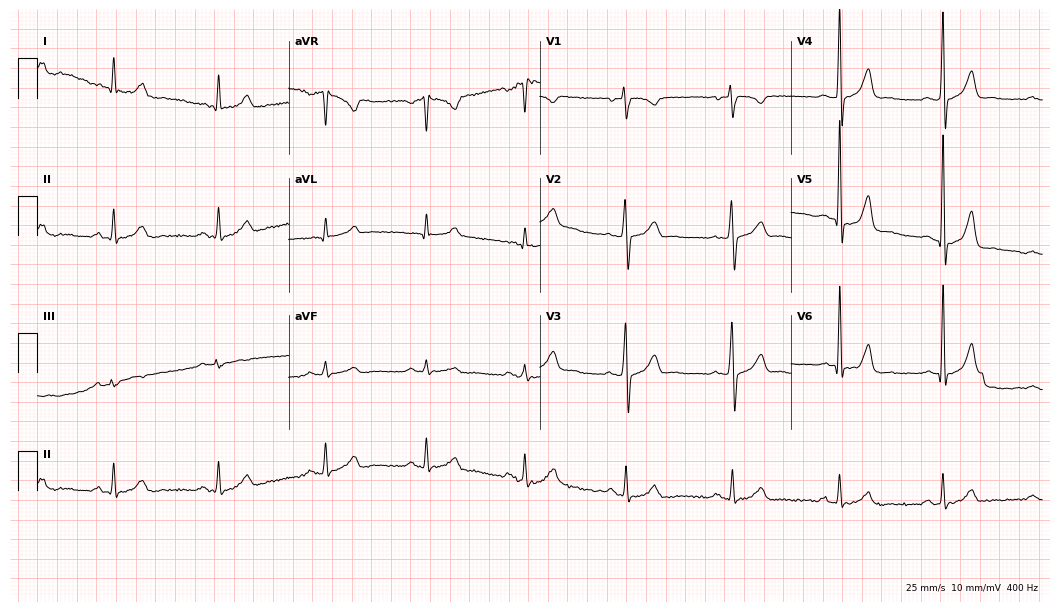
Standard 12-lead ECG recorded from a 46-year-old male (10.2-second recording at 400 Hz). None of these six findings is recorded: first-degree AV block, right bundle branch block, left bundle branch block, sinus bradycardia, atrial fibrillation, sinus tachycardia.